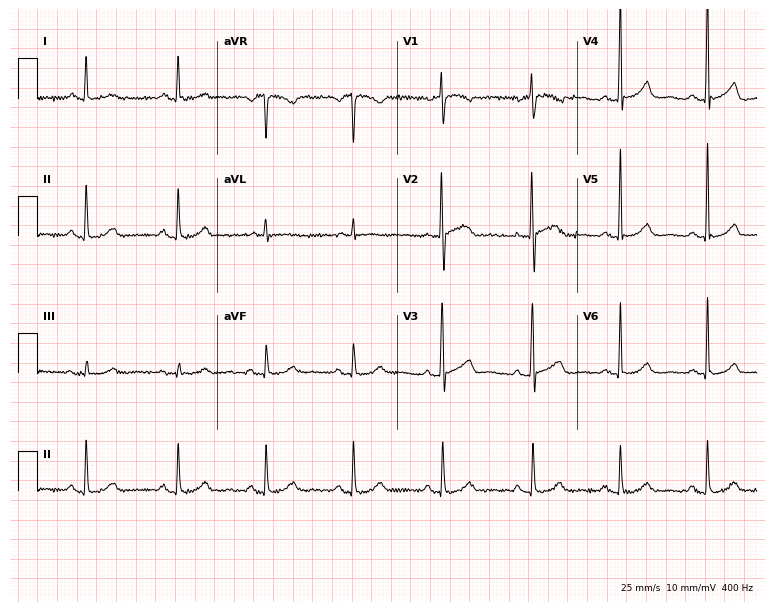
Standard 12-lead ECG recorded from a 57-year-old woman. Read as a normal ECG.